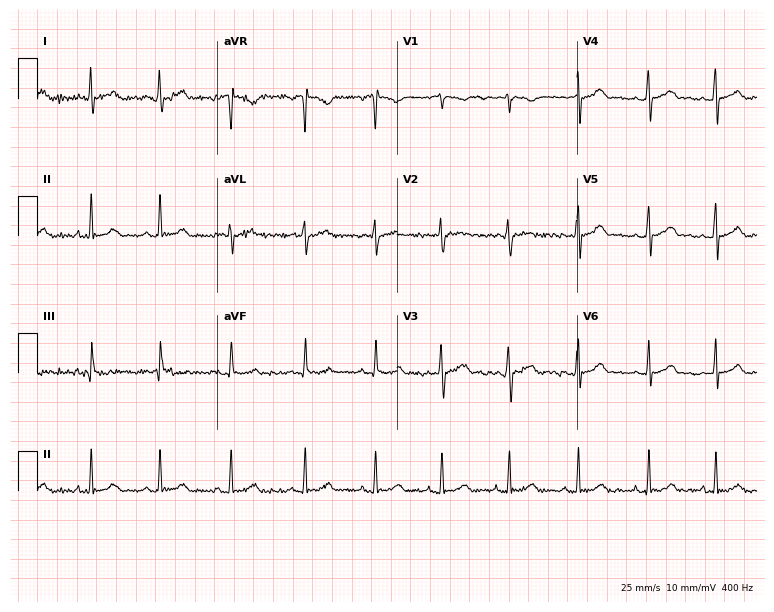
Resting 12-lead electrocardiogram (7.3-second recording at 400 Hz). Patient: a female, 23 years old. Read as a normal ECG.